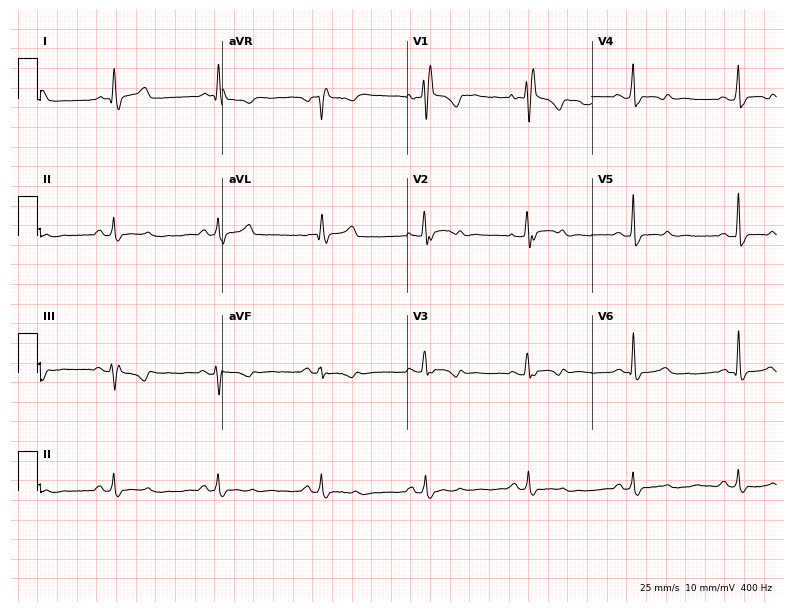
12-lead ECG (7.5-second recording at 400 Hz) from a 61-year-old woman. Screened for six findings — first-degree AV block, right bundle branch block, left bundle branch block, sinus bradycardia, atrial fibrillation, sinus tachycardia — none is recorded. Only these six findings were labelled.